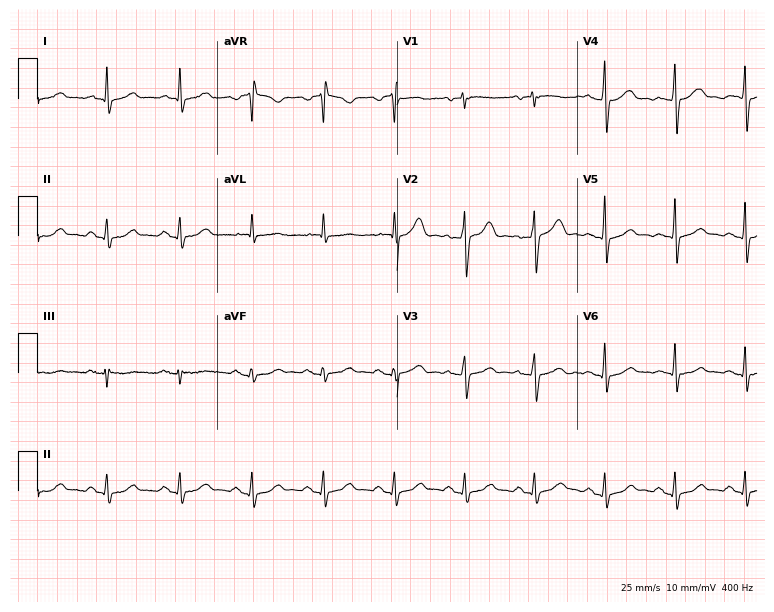
ECG (7.3-second recording at 400 Hz) — a 52-year-old male patient. Labelled as a normal ECG.